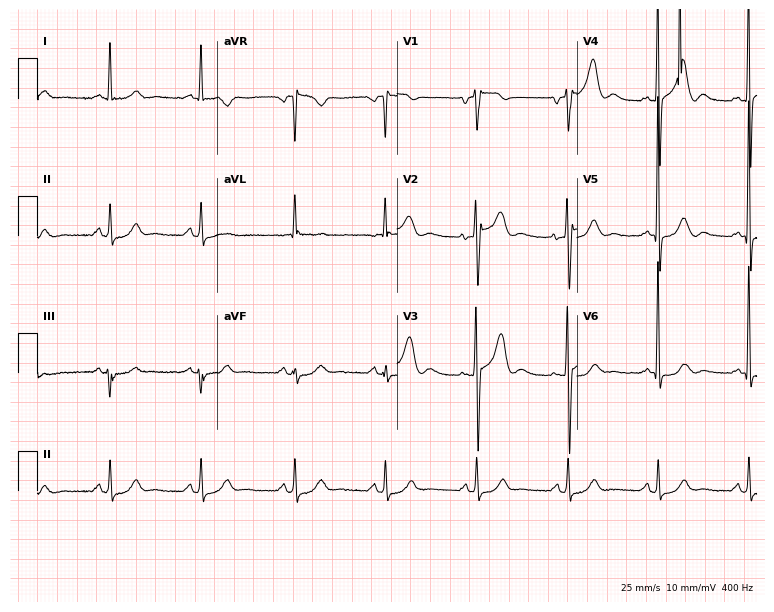
12-lead ECG (7.3-second recording at 400 Hz) from a 66-year-old man. Screened for six findings — first-degree AV block, right bundle branch block (RBBB), left bundle branch block (LBBB), sinus bradycardia, atrial fibrillation (AF), sinus tachycardia — none is recorded. Findings outside these six are not listed.